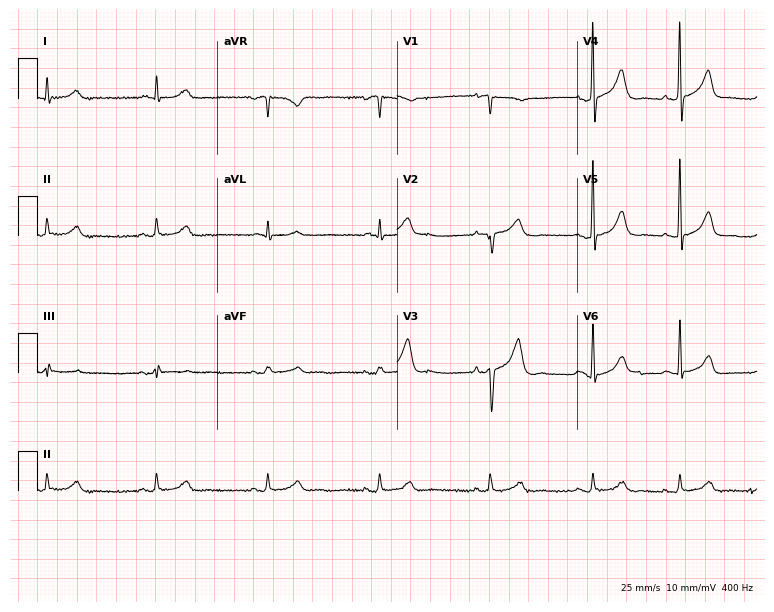
Resting 12-lead electrocardiogram (7.3-second recording at 400 Hz). Patient: an 82-year-old male. None of these six findings is recorded: first-degree AV block, right bundle branch block, left bundle branch block, sinus bradycardia, atrial fibrillation, sinus tachycardia.